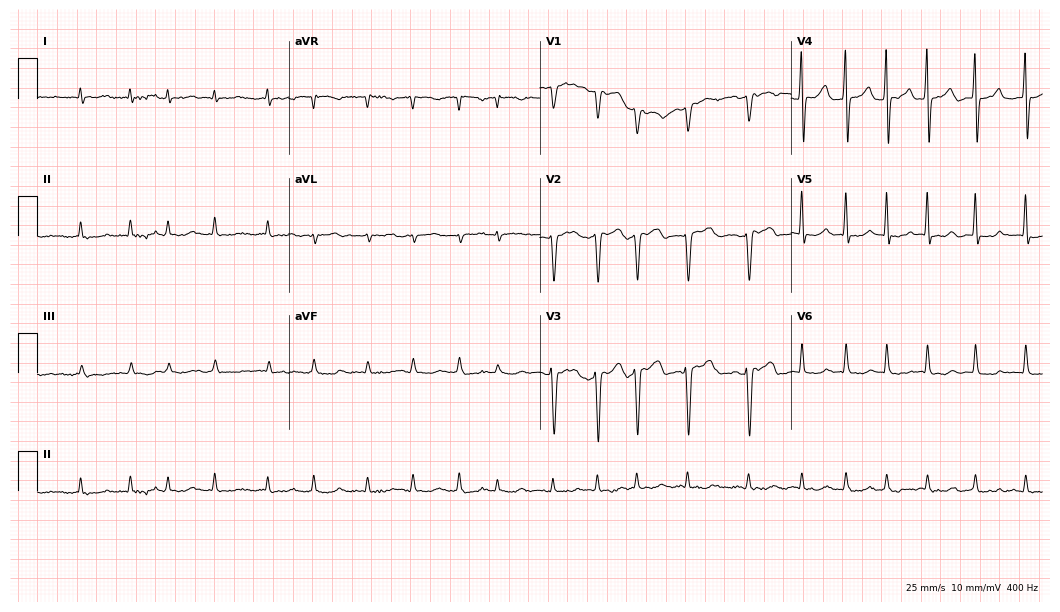
Electrocardiogram (10.2-second recording at 400 Hz), a 70-year-old male. Interpretation includes atrial fibrillation.